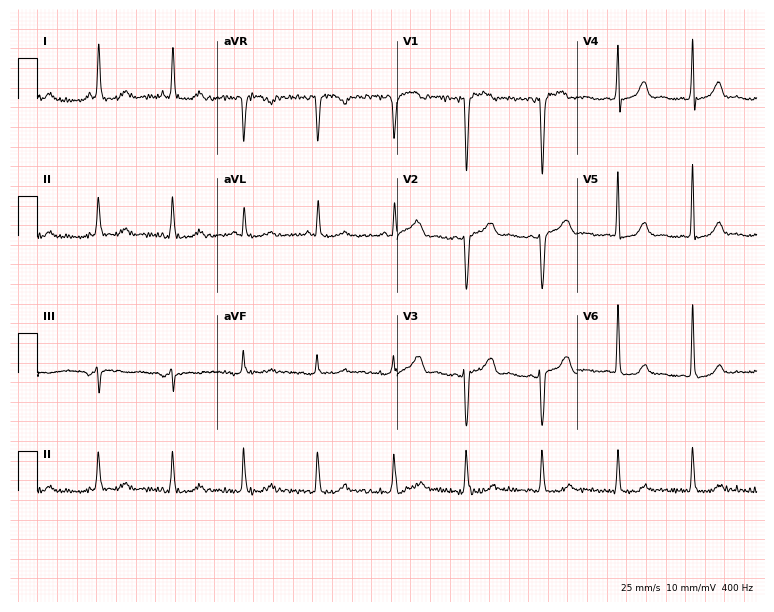
Resting 12-lead electrocardiogram (7.3-second recording at 400 Hz). Patient: a 74-year-old female. None of these six findings is recorded: first-degree AV block, right bundle branch block, left bundle branch block, sinus bradycardia, atrial fibrillation, sinus tachycardia. Only these six findings were labelled.